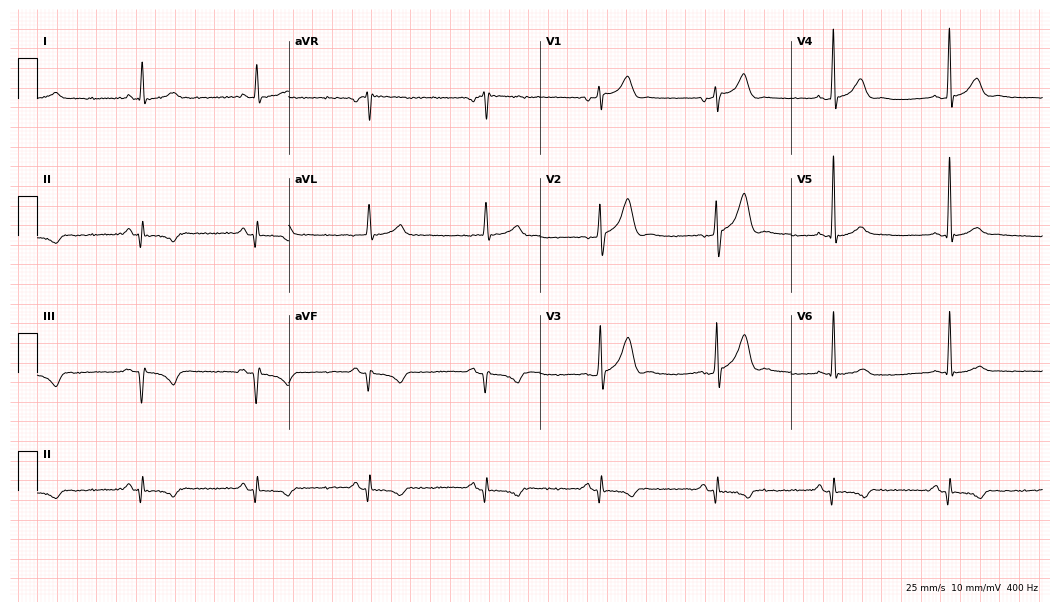
Electrocardiogram (10.2-second recording at 400 Hz), a man, 57 years old. Of the six screened findings (first-degree AV block, right bundle branch block (RBBB), left bundle branch block (LBBB), sinus bradycardia, atrial fibrillation (AF), sinus tachycardia), none is recorded.